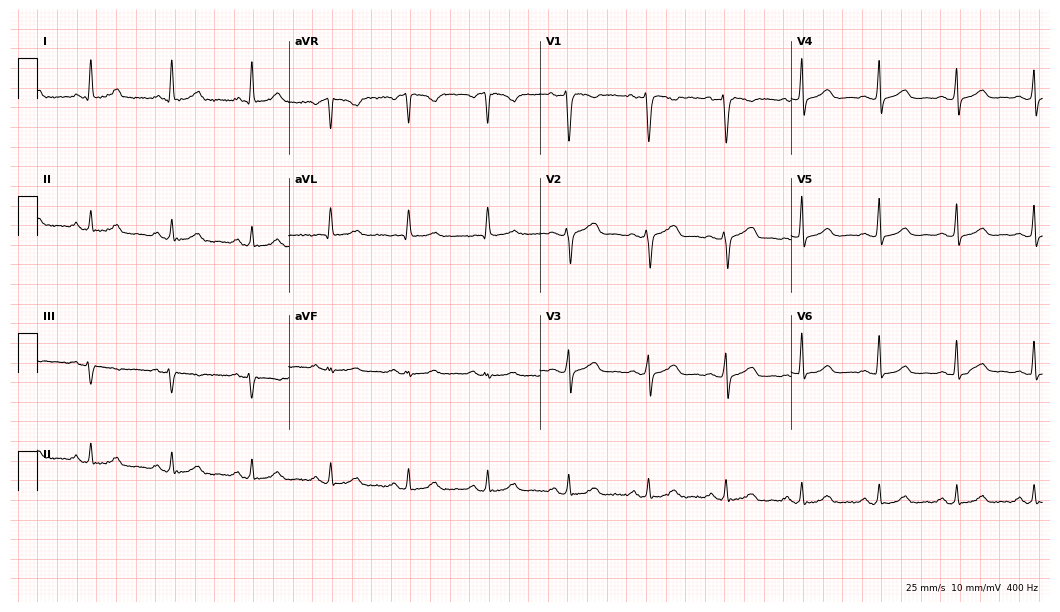
ECG — a female patient, 46 years old. Screened for six findings — first-degree AV block, right bundle branch block (RBBB), left bundle branch block (LBBB), sinus bradycardia, atrial fibrillation (AF), sinus tachycardia — none is recorded. Other findings, if any, are not listed.